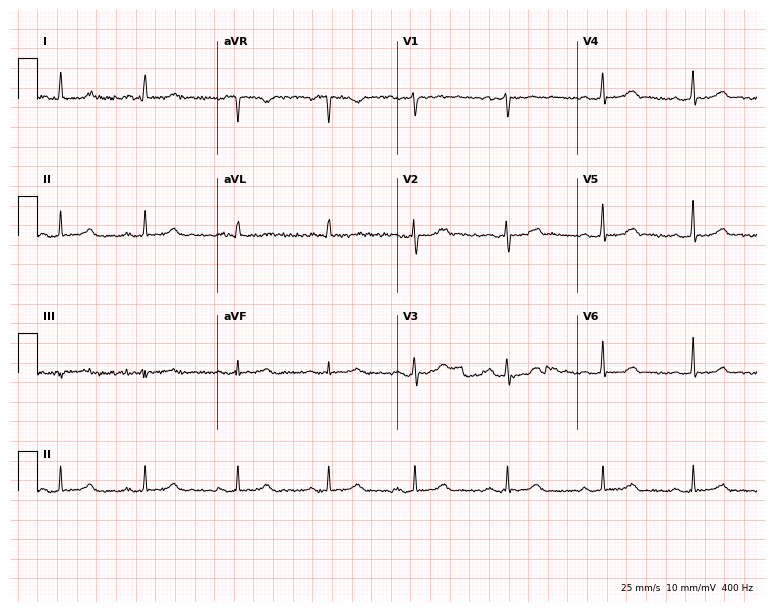
12-lead ECG from a 30-year-old woman (7.3-second recording at 400 Hz). No first-degree AV block, right bundle branch block, left bundle branch block, sinus bradycardia, atrial fibrillation or sinus tachycardia recorded for this tracing. Findings outside these six are not listed.